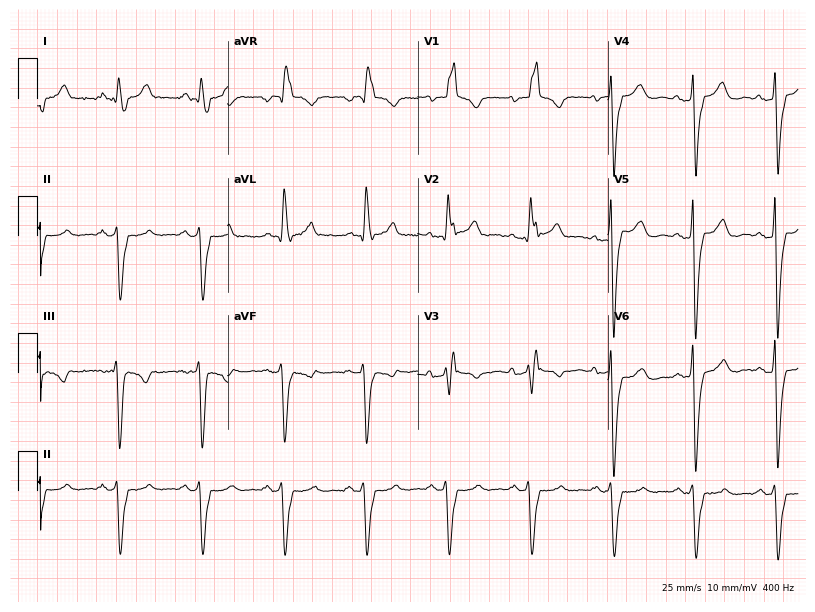
ECG — a male patient, 56 years old. Screened for six findings — first-degree AV block, right bundle branch block, left bundle branch block, sinus bradycardia, atrial fibrillation, sinus tachycardia — none is recorded.